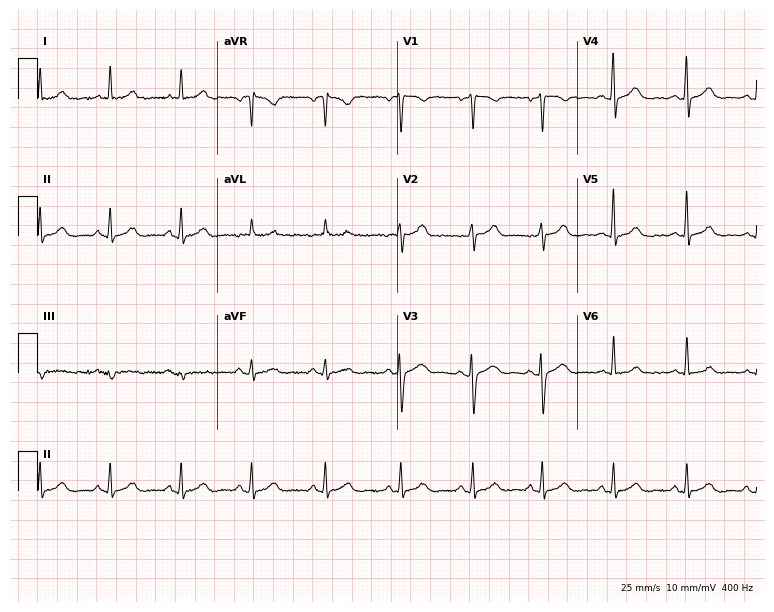
Electrocardiogram, a 50-year-old female. Overall reading on record: normal ECG.